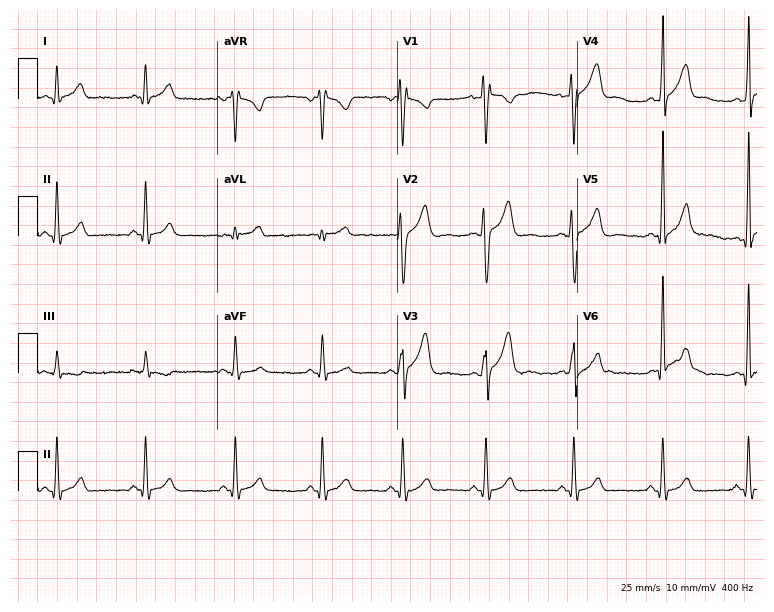
Resting 12-lead electrocardiogram (7.3-second recording at 400 Hz). Patient: a male, 36 years old. Read as a normal ECG.